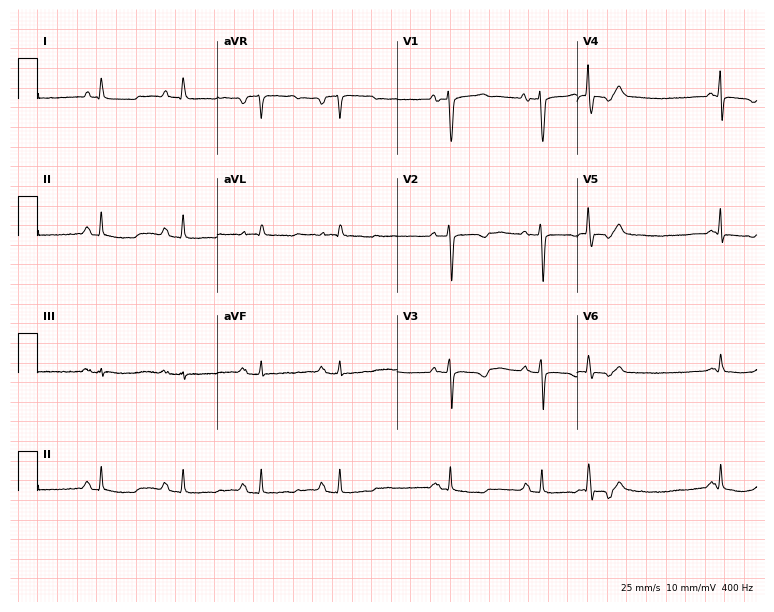
ECG (7.3-second recording at 400 Hz) — a 71-year-old female. Screened for six findings — first-degree AV block, right bundle branch block (RBBB), left bundle branch block (LBBB), sinus bradycardia, atrial fibrillation (AF), sinus tachycardia — none is recorded. Other findings, if any, are not listed.